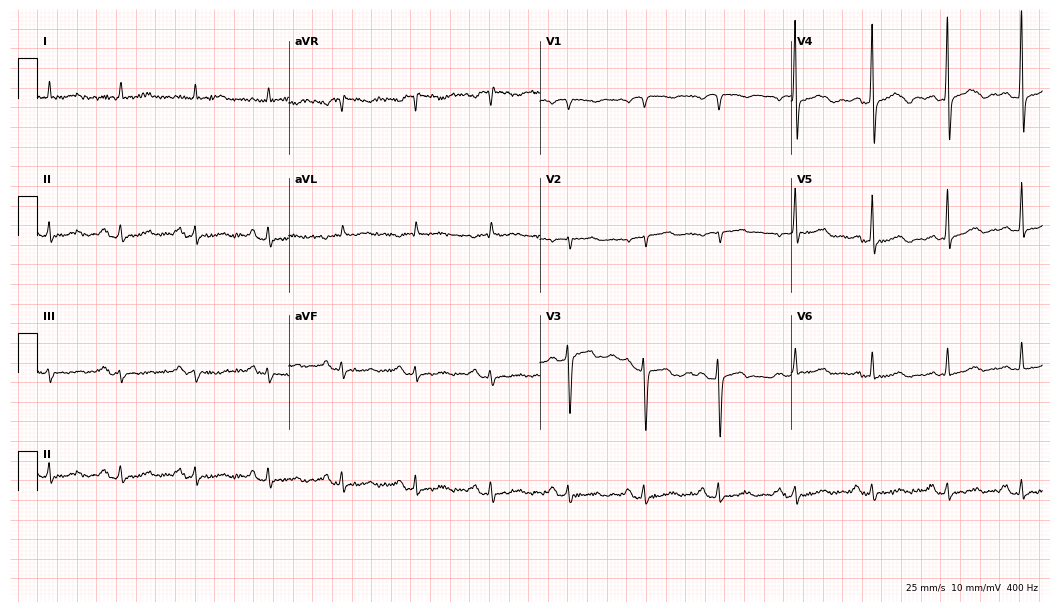
Electrocardiogram (10.2-second recording at 400 Hz), a male, 83 years old. Of the six screened findings (first-degree AV block, right bundle branch block (RBBB), left bundle branch block (LBBB), sinus bradycardia, atrial fibrillation (AF), sinus tachycardia), none is recorded. Other findings, if any, are not listed.